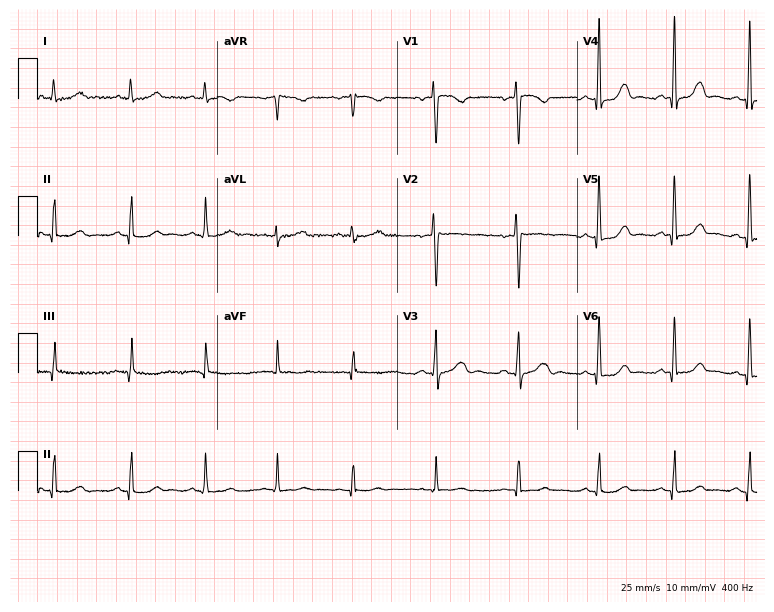
Standard 12-lead ECG recorded from a 41-year-old female patient (7.3-second recording at 400 Hz). Read as a normal ECG.